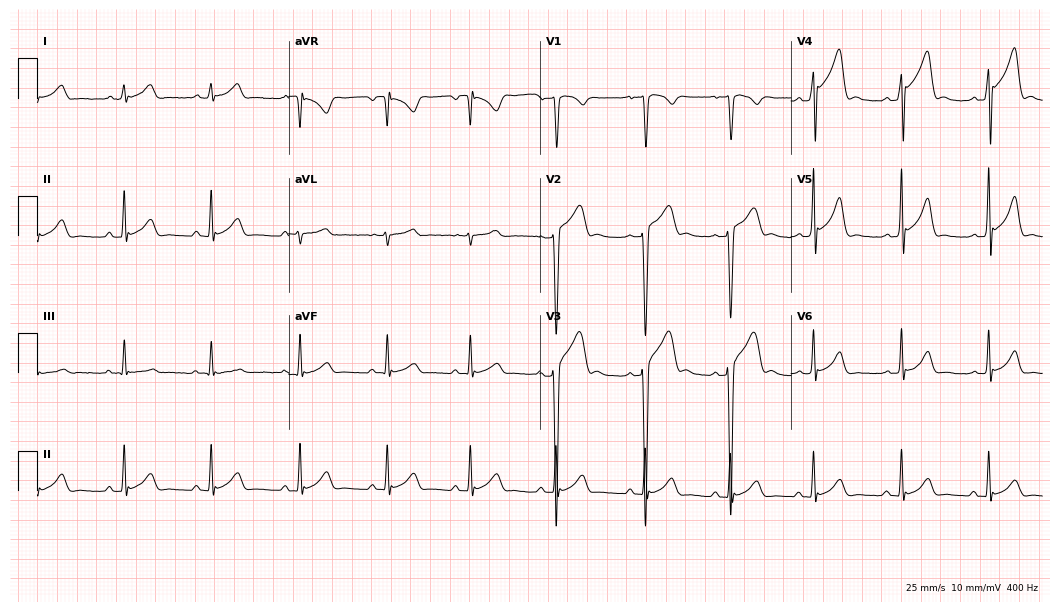
Electrocardiogram, a man, 23 years old. Of the six screened findings (first-degree AV block, right bundle branch block, left bundle branch block, sinus bradycardia, atrial fibrillation, sinus tachycardia), none is recorded. Findings outside these six are not listed.